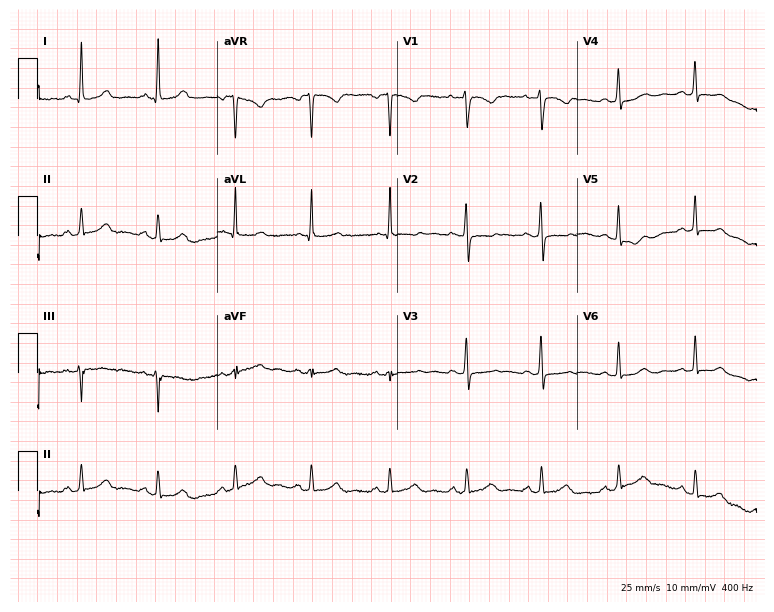
Resting 12-lead electrocardiogram. Patient: a 41-year-old woman. Read as a normal ECG.